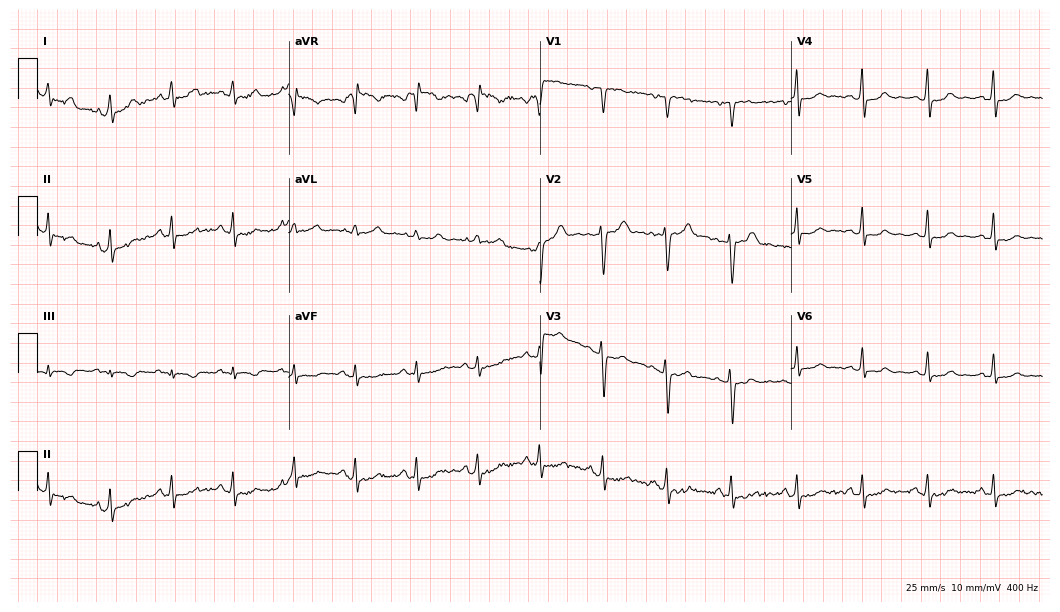
12-lead ECG from a female, 35 years old. Screened for six findings — first-degree AV block, right bundle branch block, left bundle branch block, sinus bradycardia, atrial fibrillation, sinus tachycardia — none is recorded. Other findings, if any, are not listed.